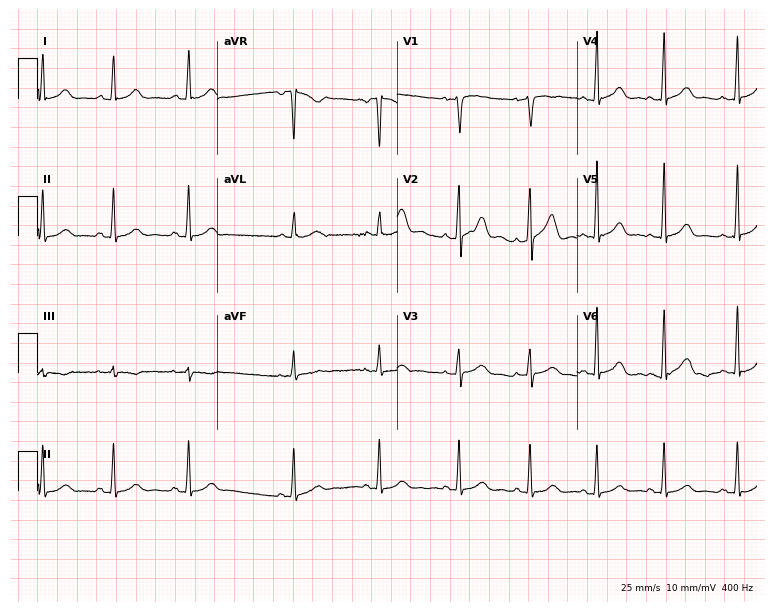
12-lead ECG (7.3-second recording at 400 Hz) from a 17-year-old female. Labelled as a normal ECG.